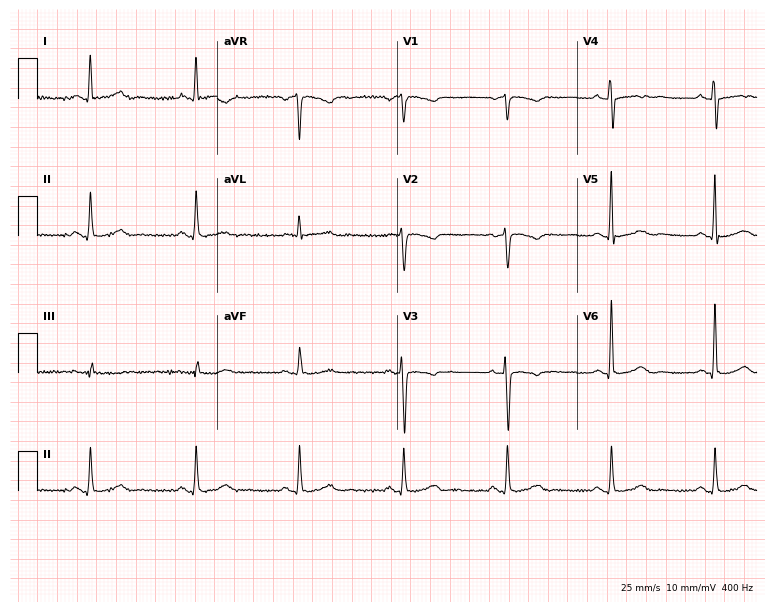
Standard 12-lead ECG recorded from a man, 67 years old. None of these six findings is recorded: first-degree AV block, right bundle branch block (RBBB), left bundle branch block (LBBB), sinus bradycardia, atrial fibrillation (AF), sinus tachycardia.